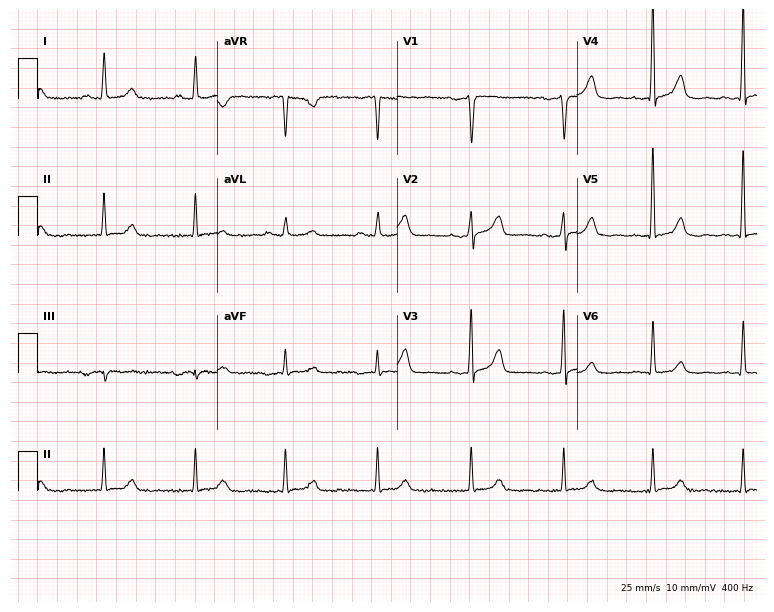
Electrocardiogram, a 59-year-old female. Of the six screened findings (first-degree AV block, right bundle branch block (RBBB), left bundle branch block (LBBB), sinus bradycardia, atrial fibrillation (AF), sinus tachycardia), none is recorded. Only these six findings were labelled.